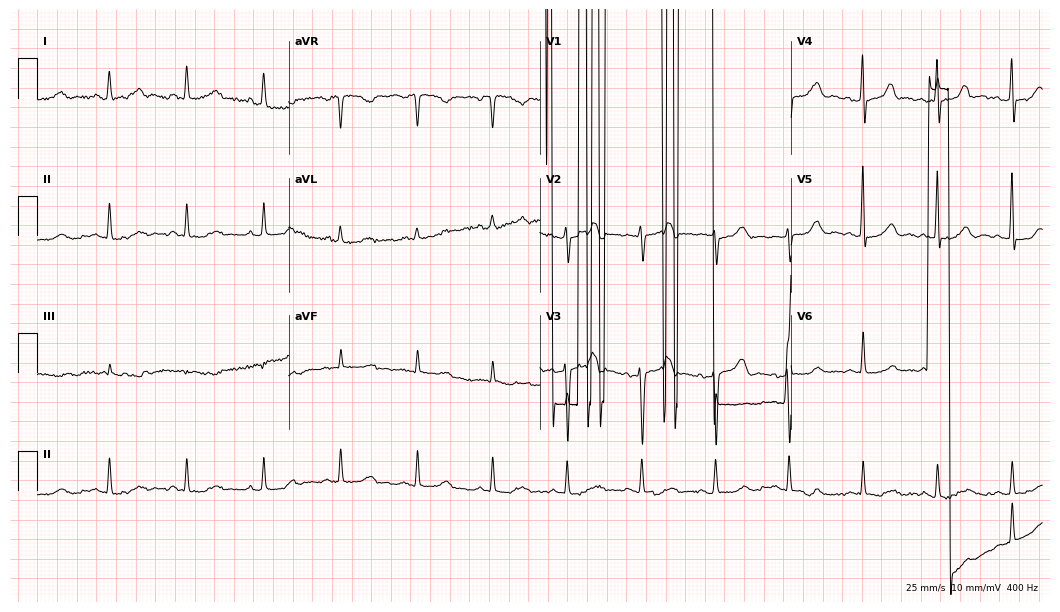
12-lead ECG from a male, 79 years old. No first-degree AV block, right bundle branch block (RBBB), left bundle branch block (LBBB), sinus bradycardia, atrial fibrillation (AF) or sinus tachycardia recorded for this tracing.